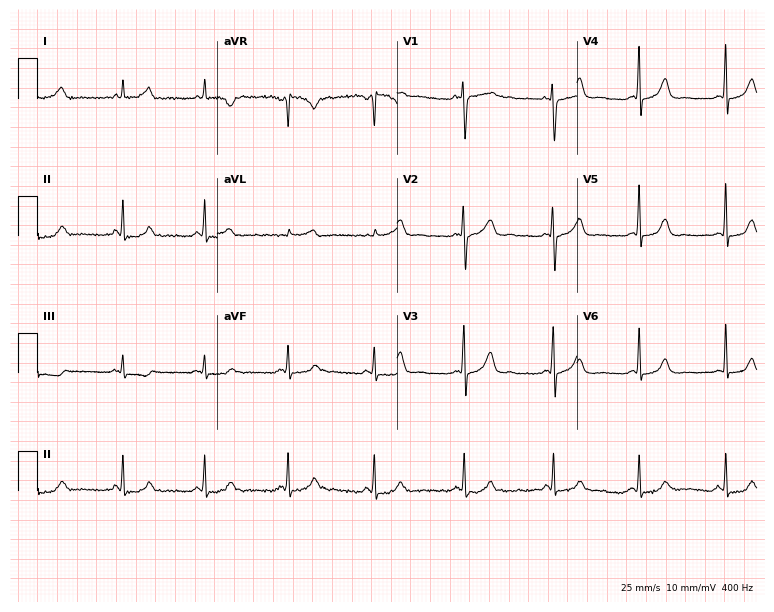
12-lead ECG from a female patient, 27 years old (7.3-second recording at 400 Hz). No first-degree AV block, right bundle branch block, left bundle branch block, sinus bradycardia, atrial fibrillation or sinus tachycardia recorded for this tracing.